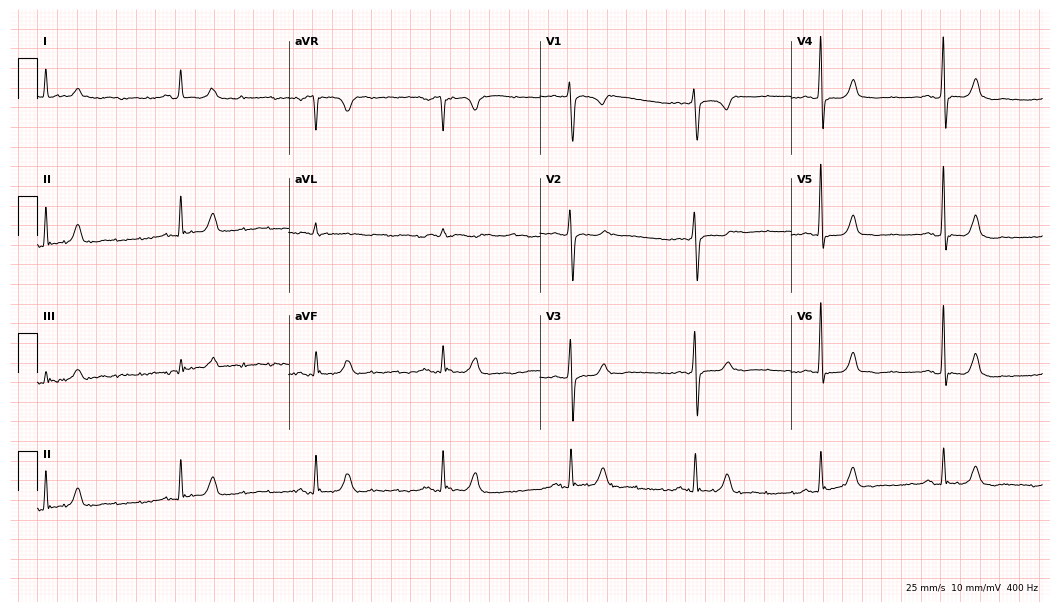
12-lead ECG from a female patient, 75 years old (10.2-second recording at 400 Hz). Shows sinus bradycardia (a sinus rate of 50 beats per minute or less).